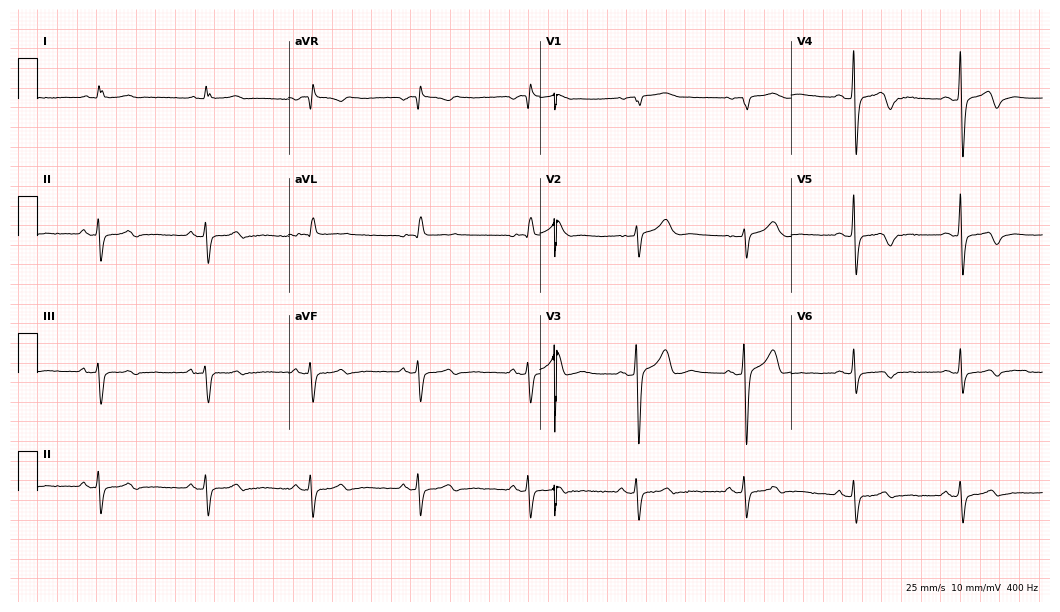
ECG — a male, 83 years old. Screened for six findings — first-degree AV block, right bundle branch block (RBBB), left bundle branch block (LBBB), sinus bradycardia, atrial fibrillation (AF), sinus tachycardia — none is recorded.